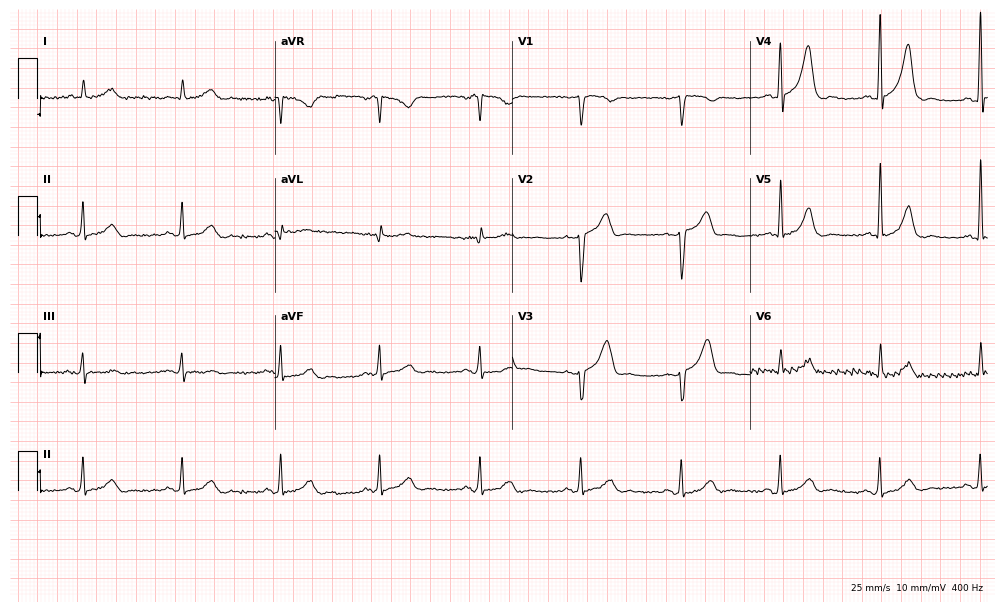
12-lead ECG from an 82-year-old male. Recorded interpretation: within normal limits.